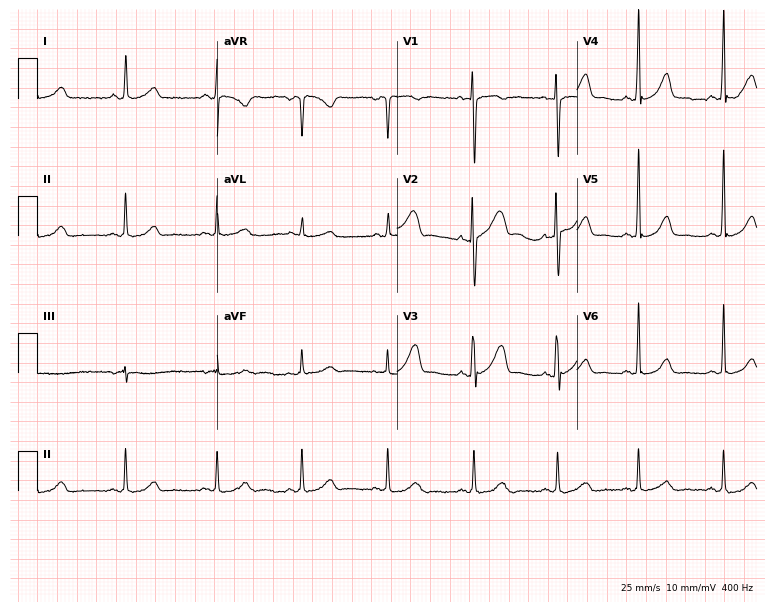
12-lead ECG from a 40-year-old female patient (7.3-second recording at 400 Hz). Recorded interpretation: within normal limits.